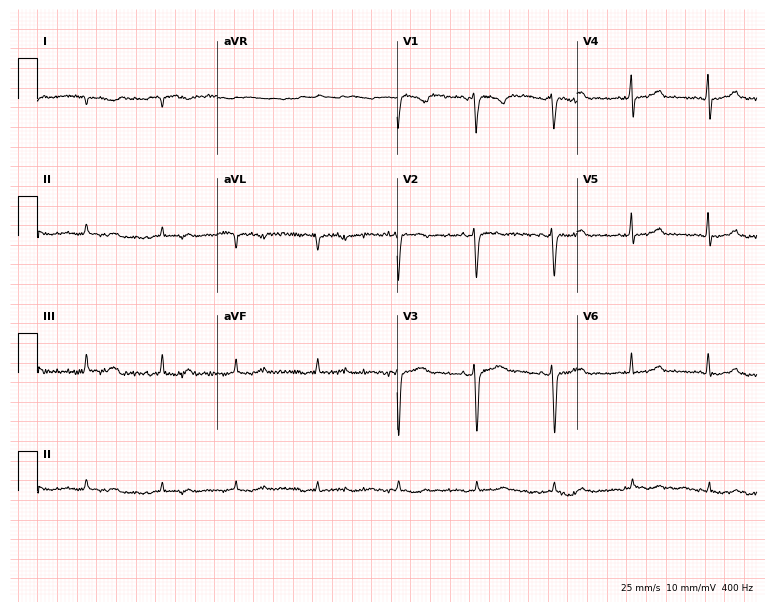
Electrocardiogram, a female, 31 years old. Of the six screened findings (first-degree AV block, right bundle branch block (RBBB), left bundle branch block (LBBB), sinus bradycardia, atrial fibrillation (AF), sinus tachycardia), none is recorded.